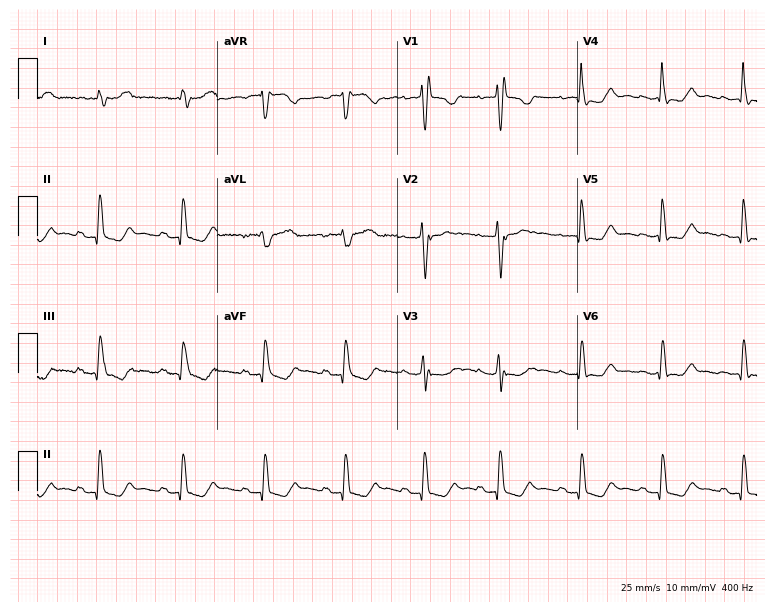
12-lead ECG from a female patient, 78 years old. Findings include right bundle branch block (RBBB).